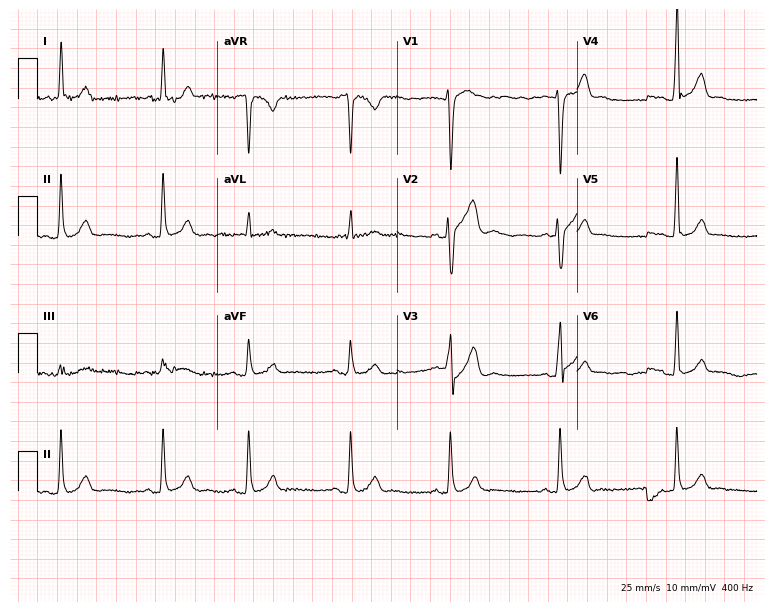
12-lead ECG from a 19-year-old male patient (7.3-second recording at 400 Hz). Recorded interpretation: within normal limits.